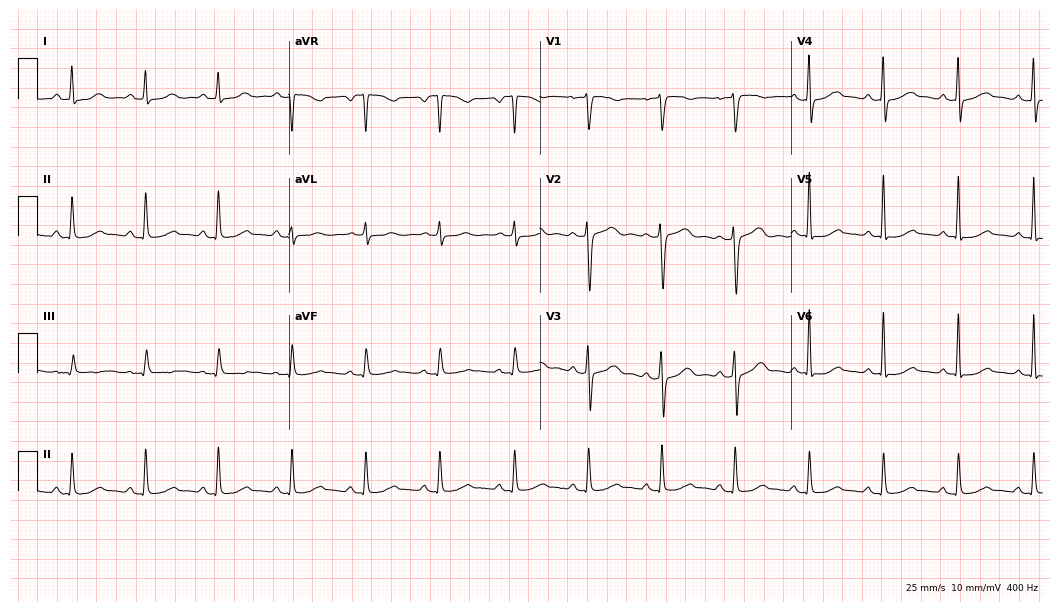
Resting 12-lead electrocardiogram (10.2-second recording at 400 Hz). Patient: a 55-year-old female. Read as a normal ECG.